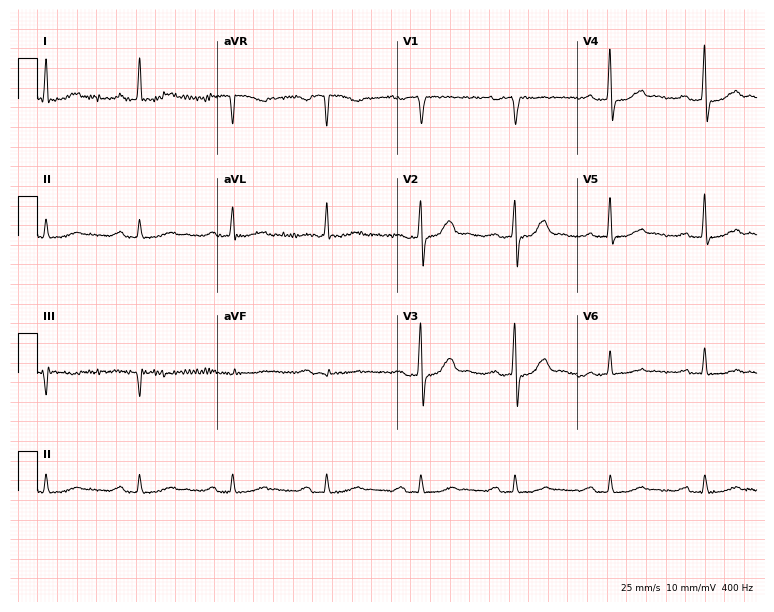
12-lead ECG from a 73-year-old male patient. Findings include first-degree AV block.